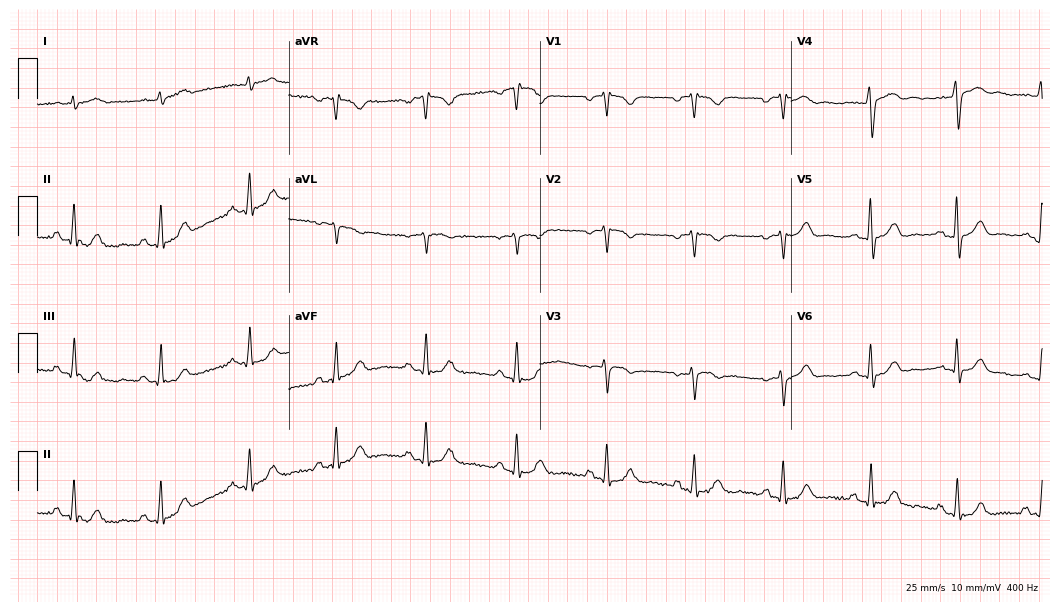
ECG — a 63-year-old male patient. Labelled as a normal ECG.